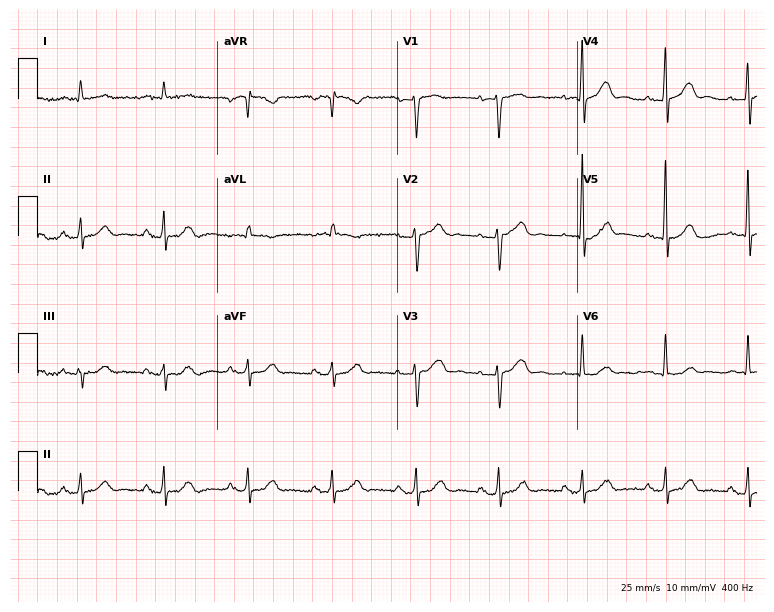
Electrocardiogram, a male, 84 years old. Of the six screened findings (first-degree AV block, right bundle branch block, left bundle branch block, sinus bradycardia, atrial fibrillation, sinus tachycardia), none is recorded. Other findings, if any, are not listed.